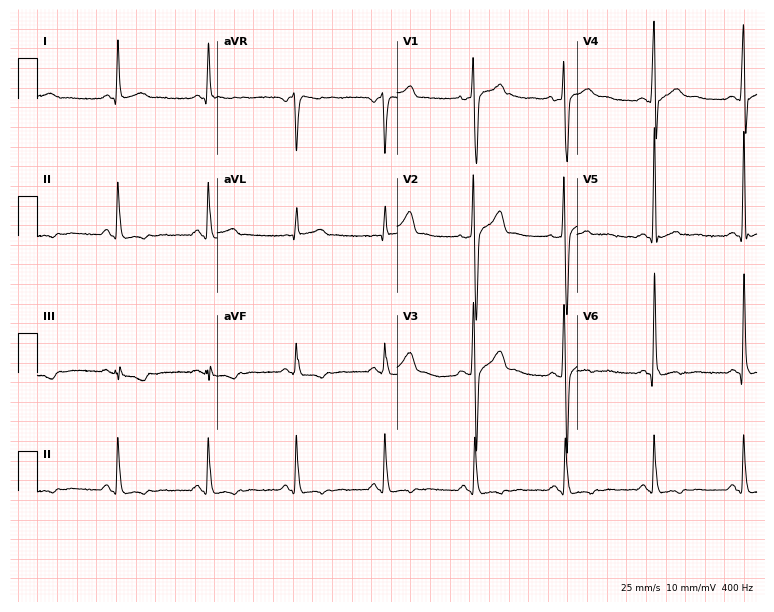
ECG (7.3-second recording at 400 Hz) — a man, 37 years old. Labelled as a normal ECG.